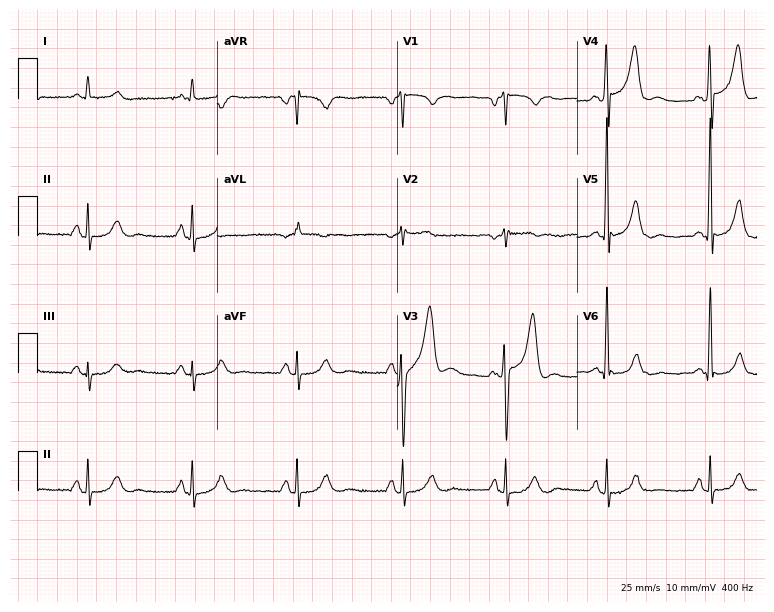
12-lead ECG (7.3-second recording at 400 Hz) from a male, 54 years old. Screened for six findings — first-degree AV block, right bundle branch block (RBBB), left bundle branch block (LBBB), sinus bradycardia, atrial fibrillation (AF), sinus tachycardia — none is recorded.